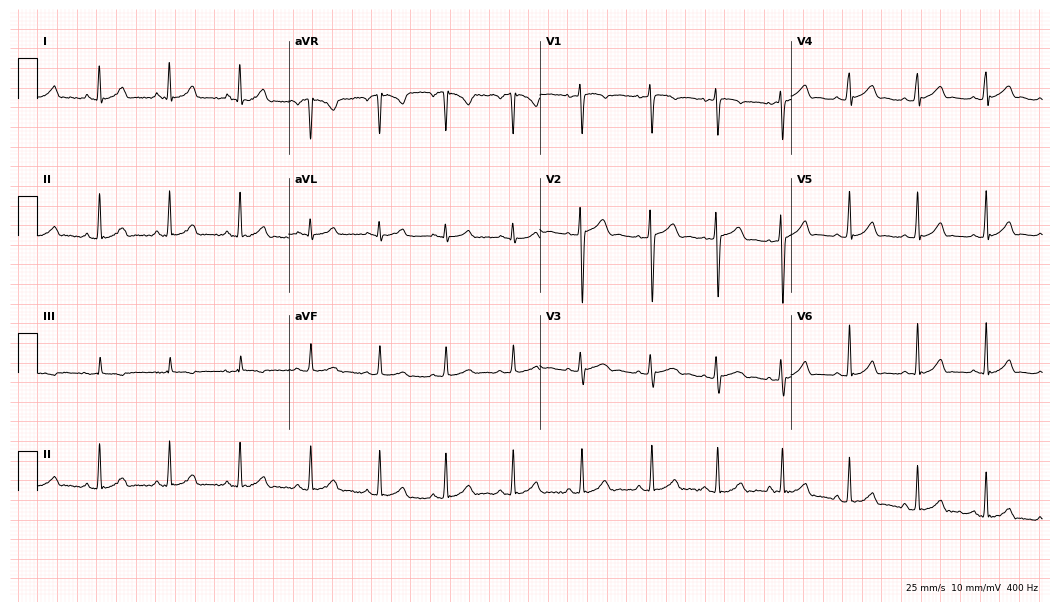
12-lead ECG from a female, 25 years old. Recorded interpretation: within normal limits.